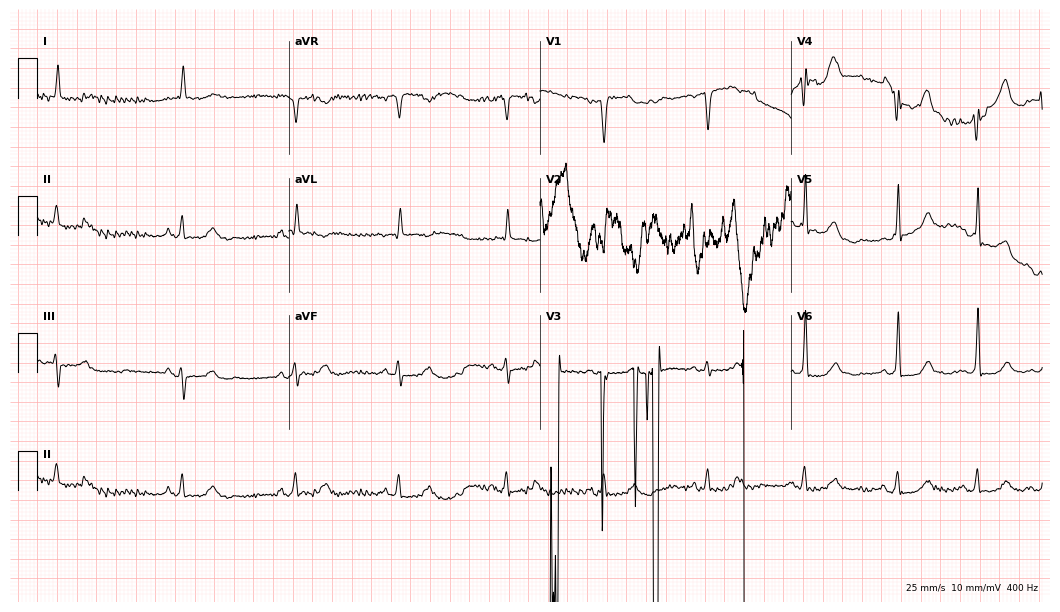
Resting 12-lead electrocardiogram. Patient: an 83-year-old female. None of these six findings is recorded: first-degree AV block, right bundle branch block, left bundle branch block, sinus bradycardia, atrial fibrillation, sinus tachycardia. Findings outside these six are not listed.